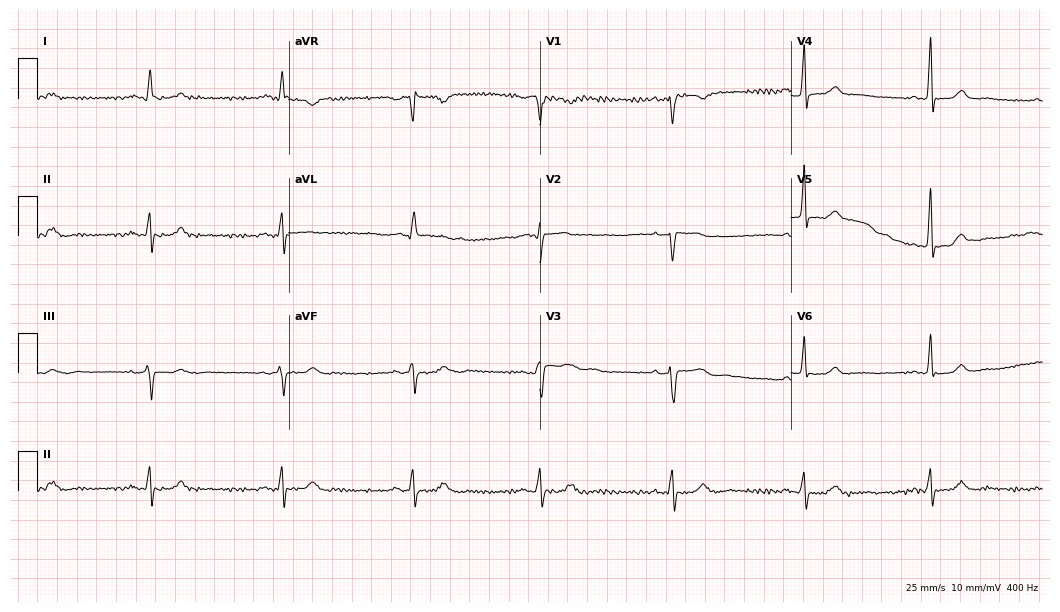
ECG (10.2-second recording at 400 Hz) — a female, 61 years old. Findings include sinus bradycardia (a sinus rate of 50 beats per minute or less).